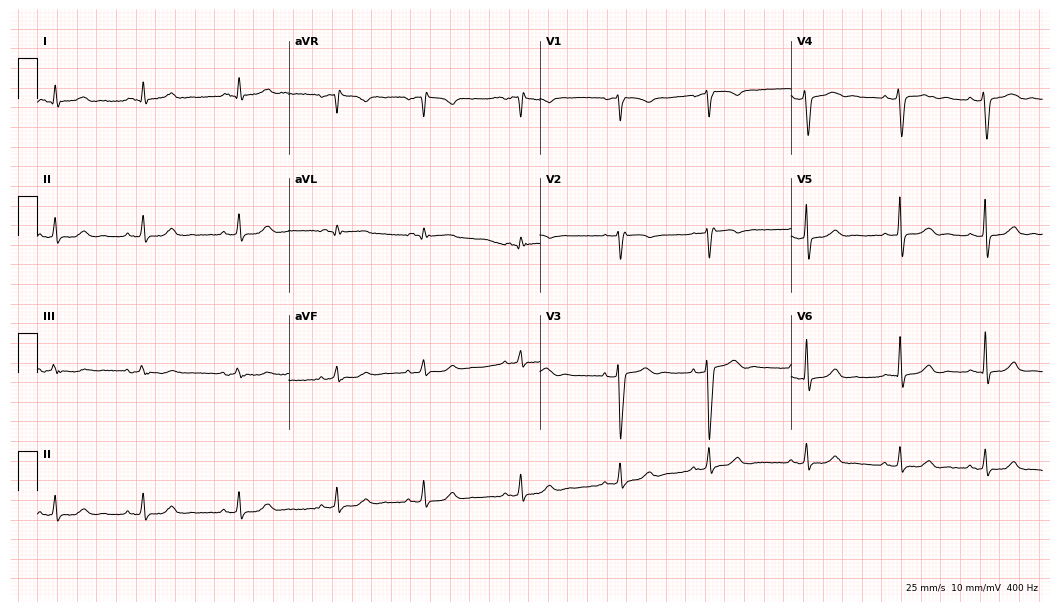
Resting 12-lead electrocardiogram. Patient: a female, 46 years old. Read as a normal ECG.